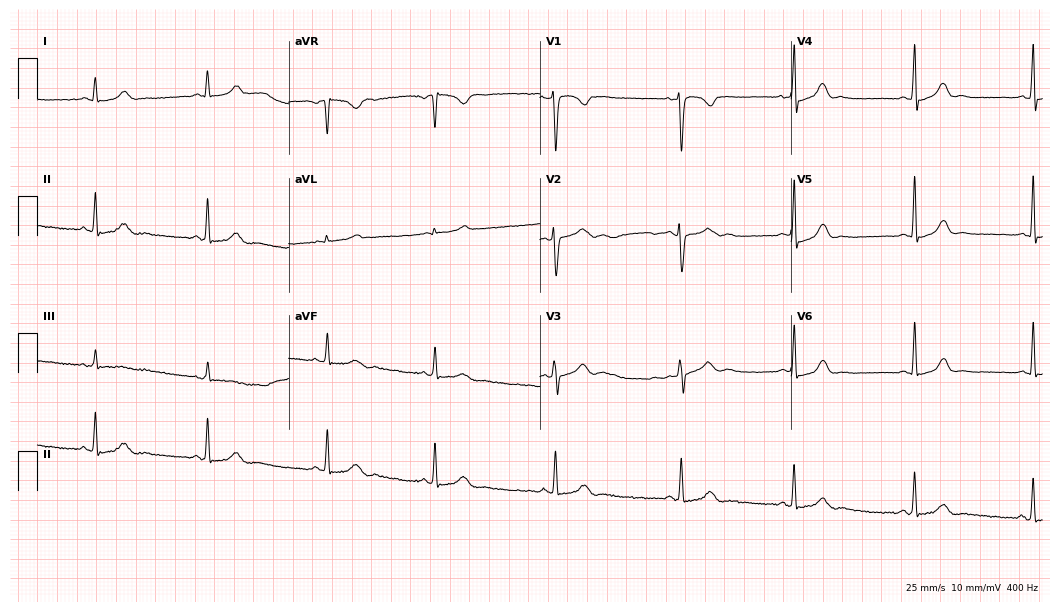
Resting 12-lead electrocardiogram (10.2-second recording at 400 Hz). Patient: a 24-year-old woman. Read as a normal ECG.